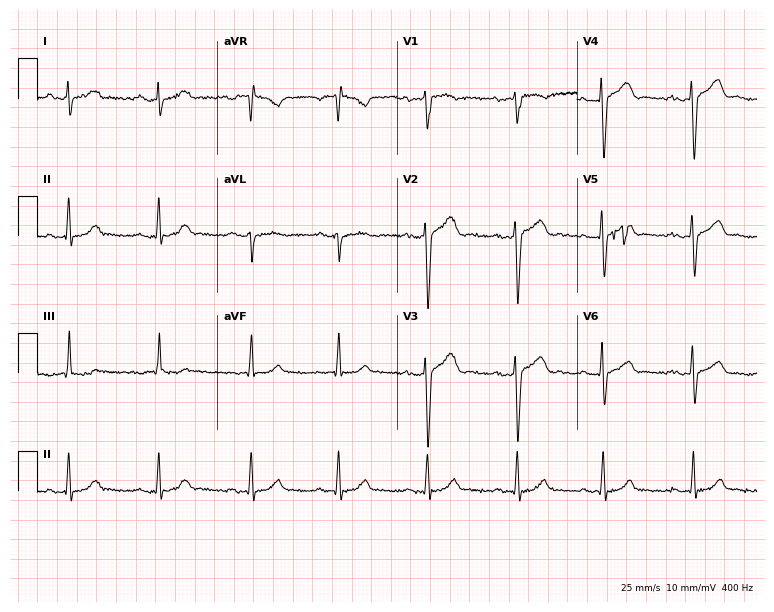
12-lead ECG (7.3-second recording at 400 Hz) from a male patient, 31 years old. Findings include first-degree AV block.